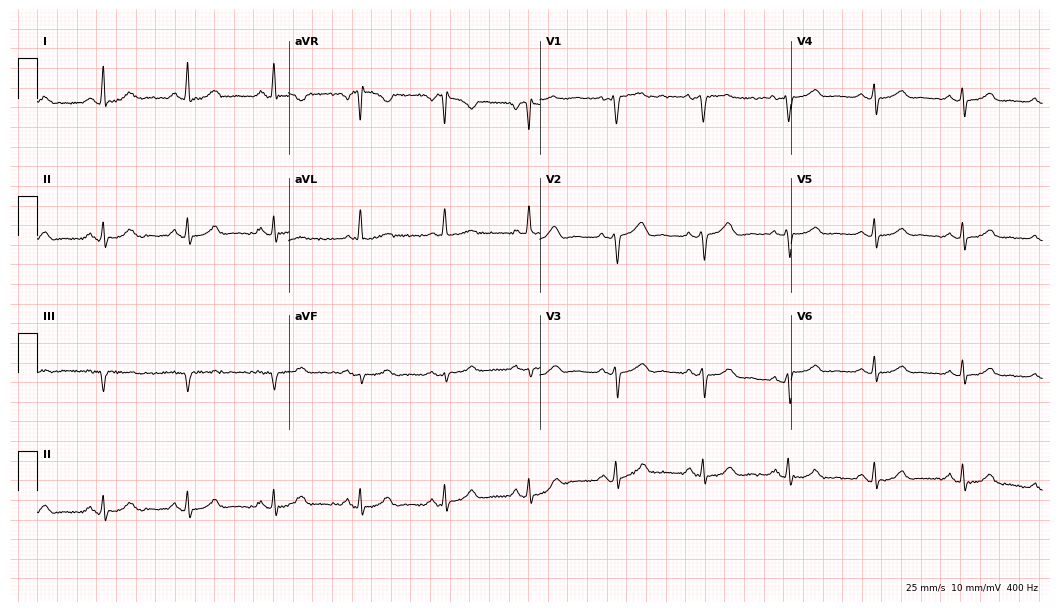
12-lead ECG from a woman, 59 years old. Recorded interpretation: within normal limits.